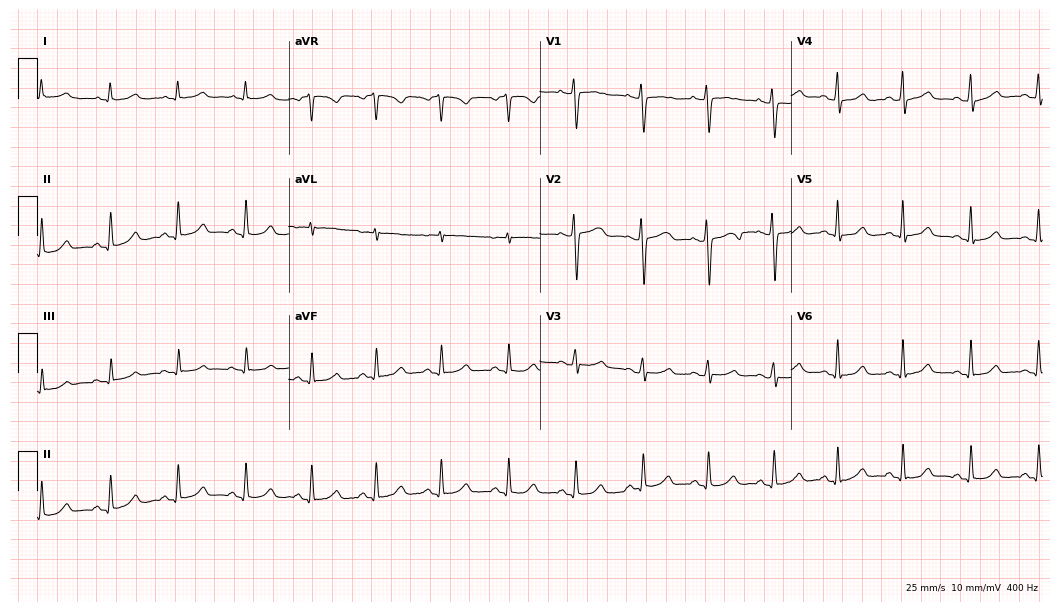
Electrocardiogram, a female patient, 61 years old. Overall reading on record: normal ECG.